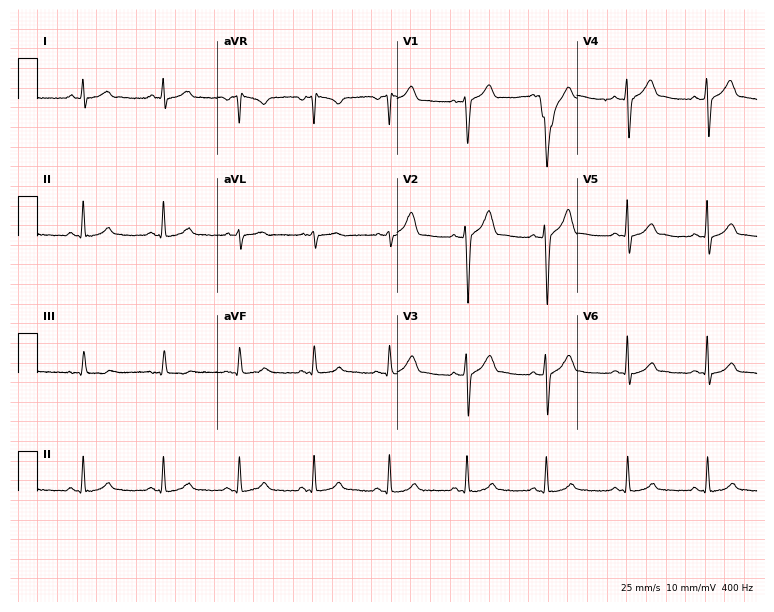
Electrocardiogram, a 41-year-old male. Overall reading on record: normal ECG.